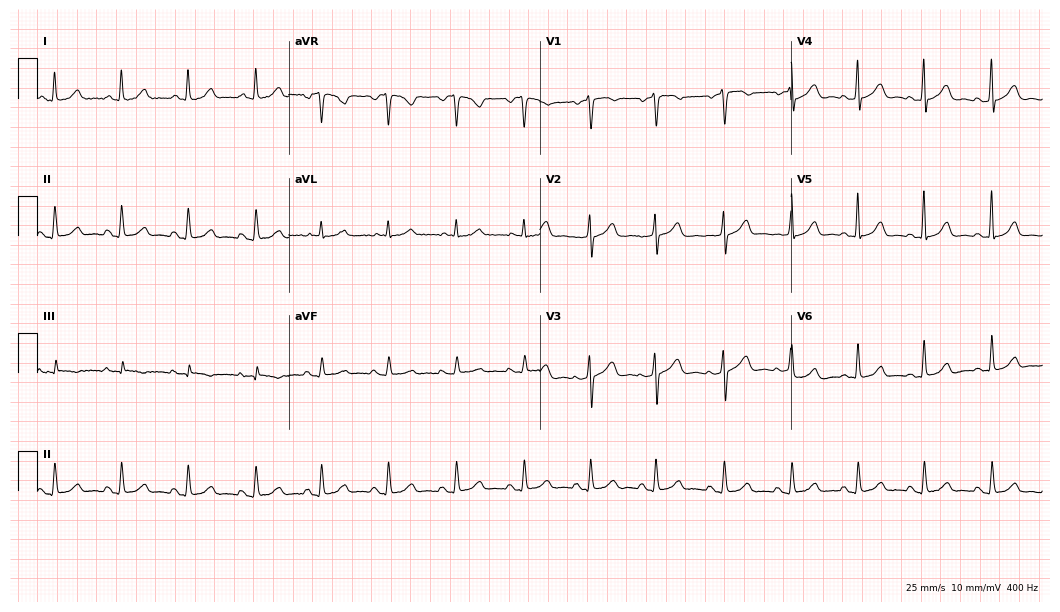
ECG (10.2-second recording at 400 Hz) — a 54-year-old woman. Screened for six findings — first-degree AV block, right bundle branch block (RBBB), left bundle branch block (LBBB), sinus bradycardia, atrial fibrillation (AF), sinus tachycardia — none is recorded. Findings outside these six are not listed.